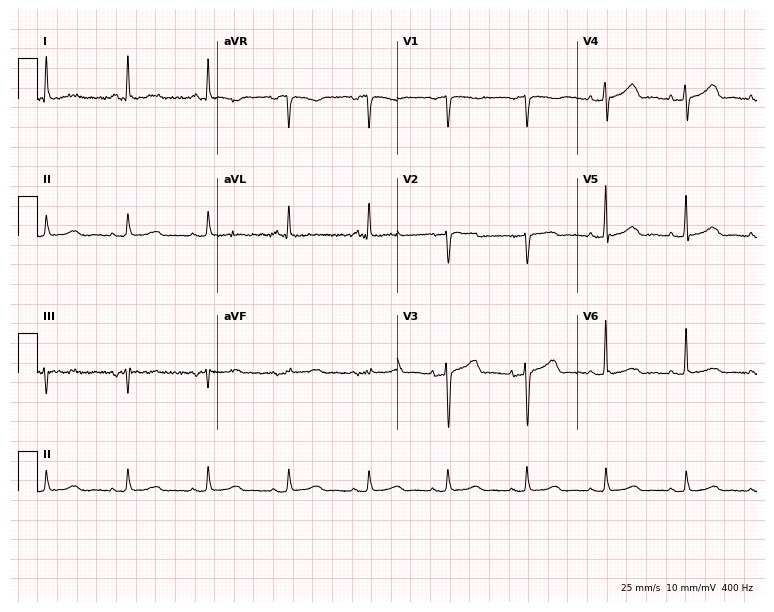
Electrocardiogram, an 83-year-old female. Of the six screened findings (first-degree AV block, right bundle branch block, left bundle branch block, sinus bradycardia, atrial fibrillation, sinus tachycardia), none is recorded. Findings outside these six are not listed.